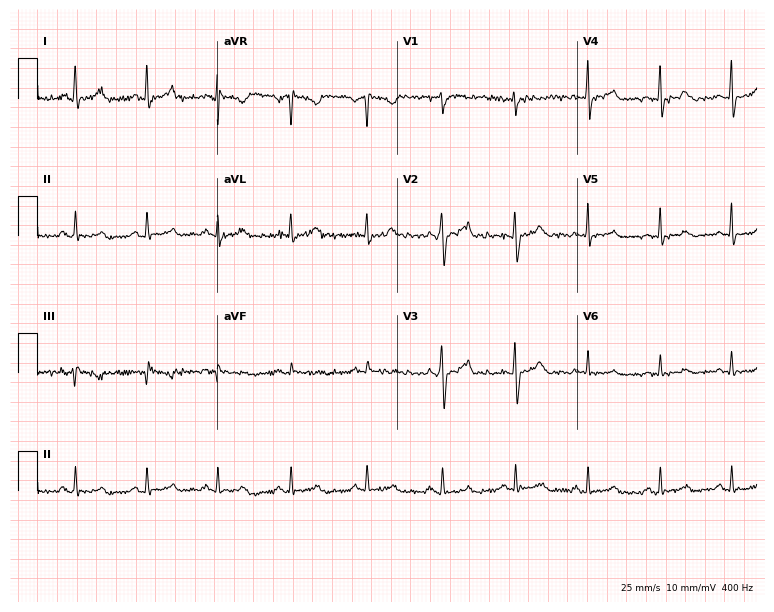
12-lead ECG (7.3-second recording at 400 Hz) from a 33-year-old woman. Screened for six findings — first-degree AV block, right bundle branch block, left bundle branch block, sinus bradycardia, atrial fibrillation, sinus tachycardia — none is recorded. Other findings, if any, are not listed.